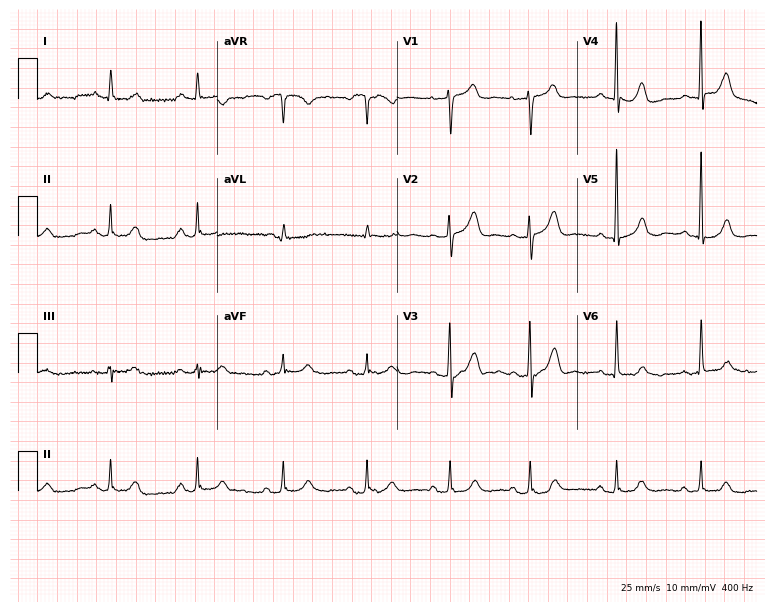
Resting 12-lead electrocardiogram. Patient: a female, 79 years old. None of these six findings is recorded: first-degree AV block, right bundle branch block, left bundle branch block, sinus bradycardia, atrial fibrillation, sinus tachycardia.